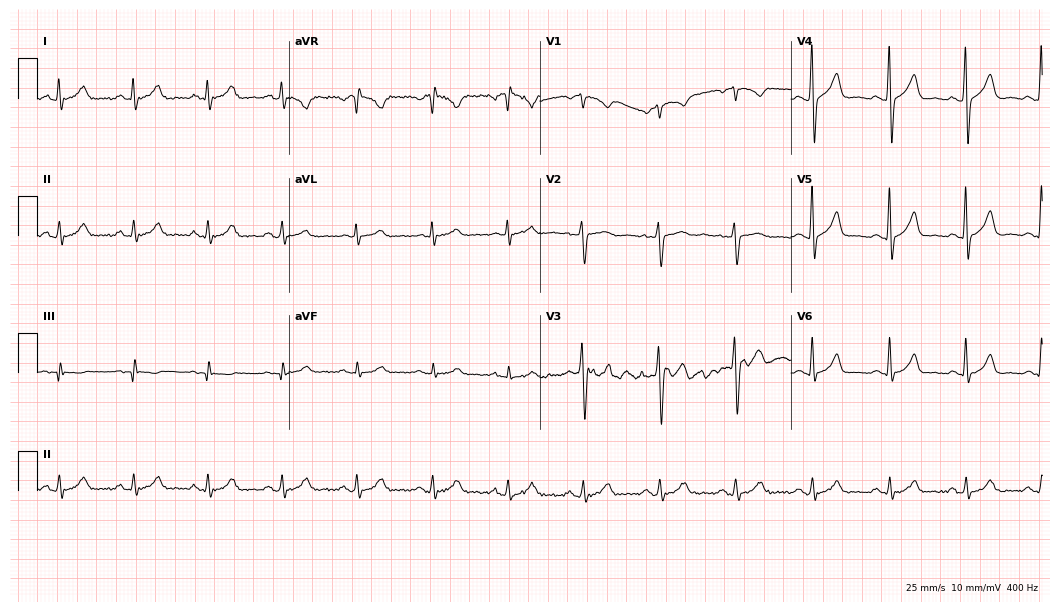
Standard 12-lead ECG recorded from a male, 45 years old (10.2-second recording at 400 Hz). Read as a normal ECG.